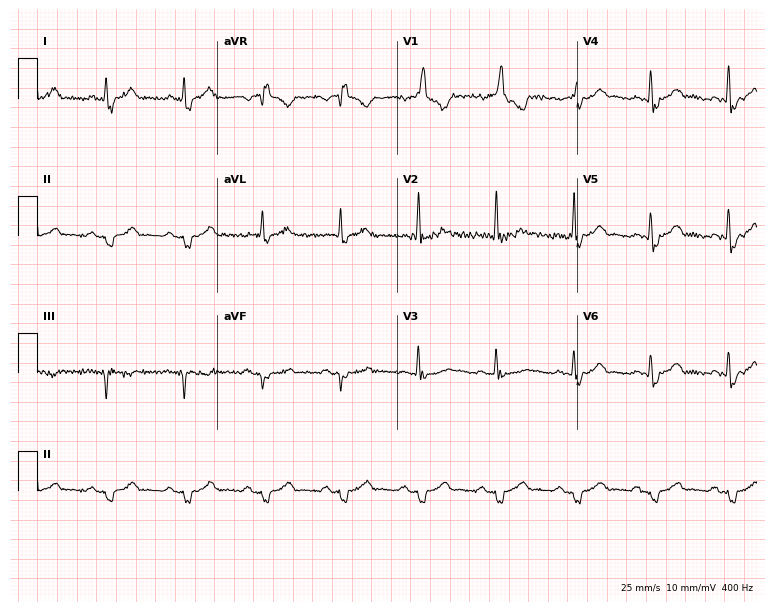
Standard 12-lead ECG recorded from a male, 62 years old (7.3-second recording at 400 Hz). The tracing shows right bundle branch block (RBBB).